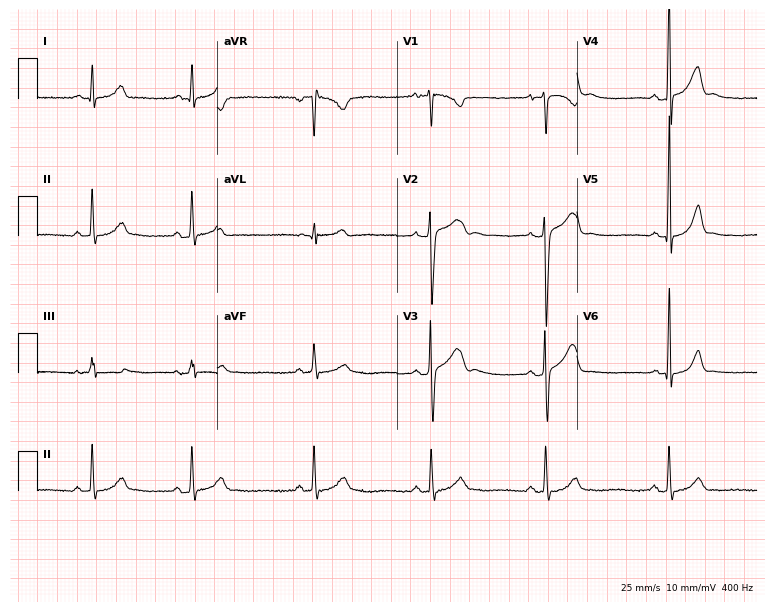
Electrocardiogram (7.3-second recording at 400 Hz), a male, 20 years old. Of the six screened findings (first-degree AV block, right bundle branch block (RBBB), left bundle branch block (LBBB), sinus bradycardia, atrial fibrillation (AF), sinus tachycardia), none is recorded. Only these six findings were labelled.